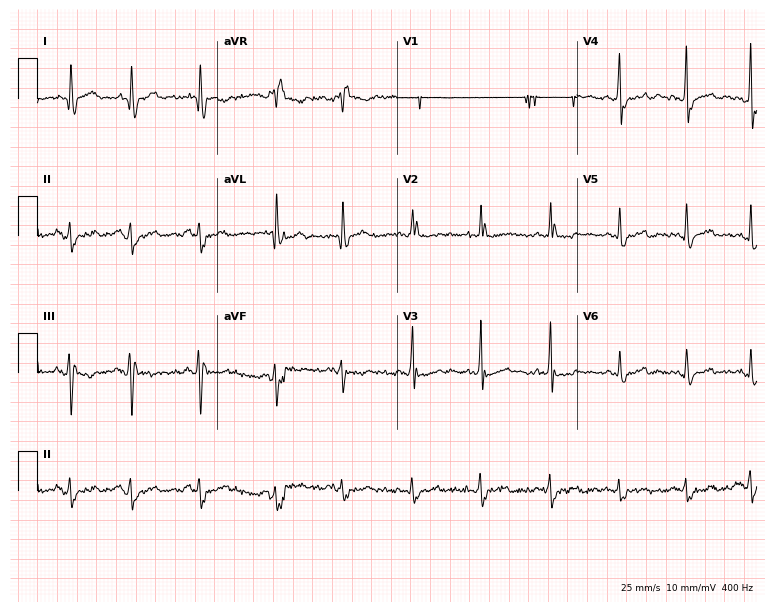
Resting 12-lead electrocardiogram. Patient: a 63-year-old male. The tracing shows right bundle branch block.